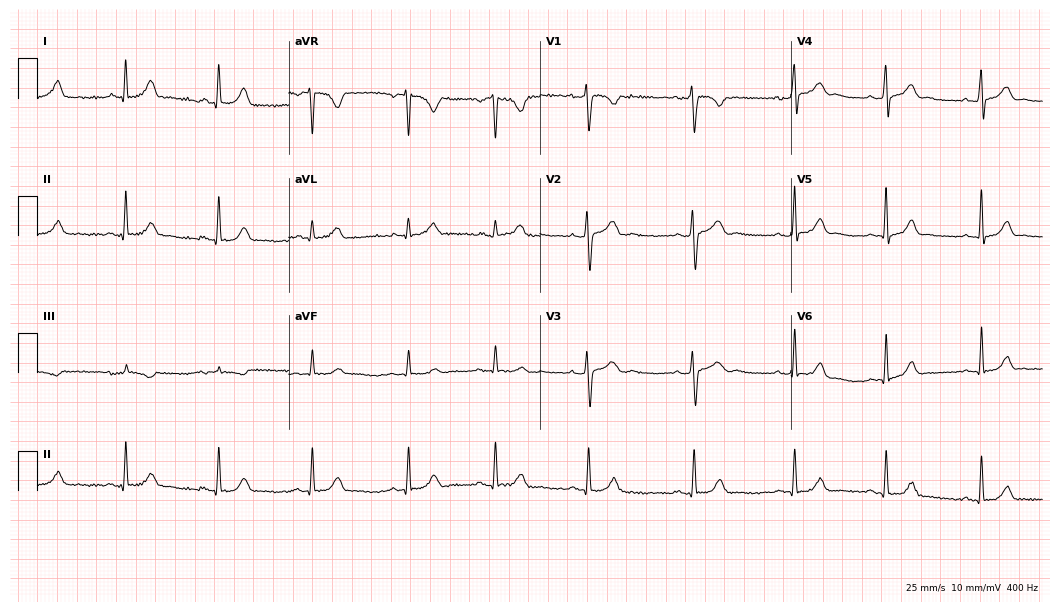
12-lead ECG from a 32-year-old woman. No first-degree AV block, right bundle branch block, left bundle branch block, sinus bradycardia, atrial fibrillation or sinus tachycardia recorded for this tracing.